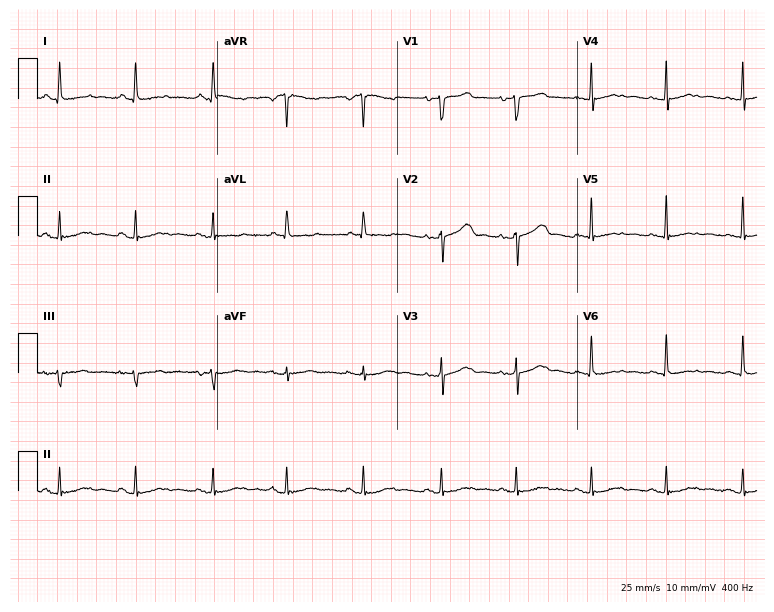
12-lead ECG from a woman, 85 years old. Screened for six findings — first-degree AV block, right bundle branch block, left bundle branch block, sinus bradycardia, atrial fibrillation, sinus tachycardia — none is recorded.